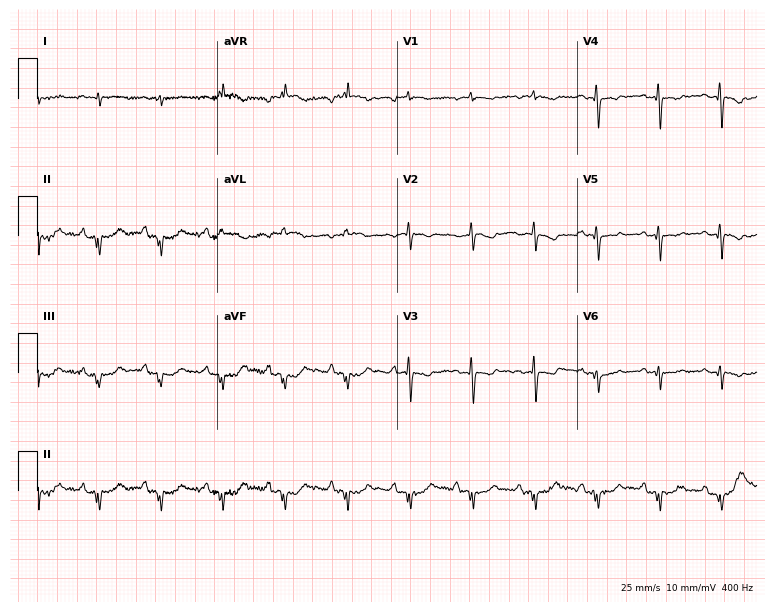
Resting 12-lead electrocardiogram. Patient: a man, 70 years old. None of these six findings is recorded: first-degree AV block, right bundle branch block, left bundle branch block, sinus bradycardia, atrial fibrillation, sinus tachycardia. Other findings, if any, are not listed.